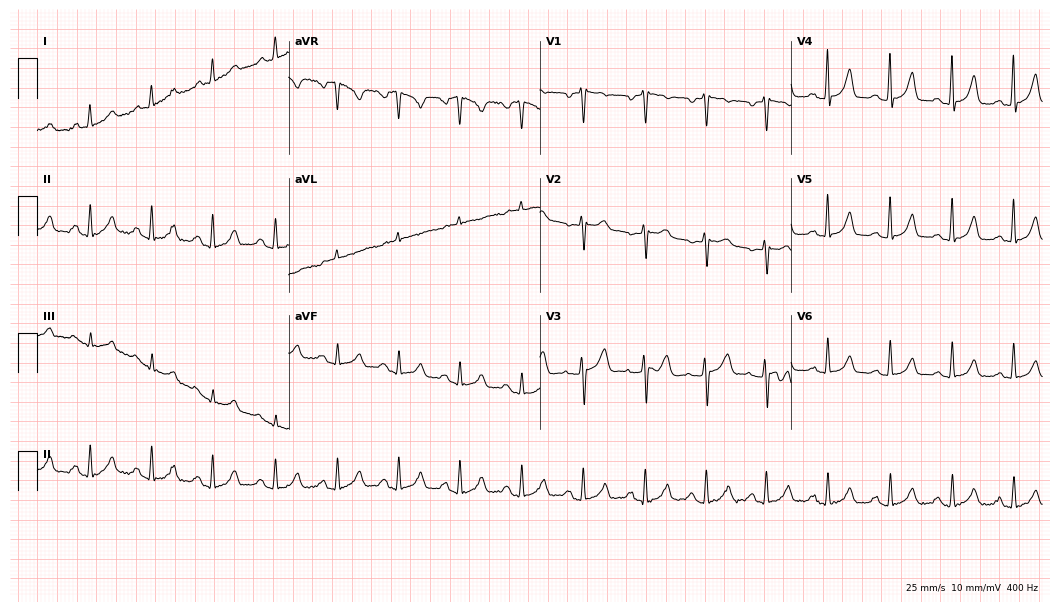
ECG (10.2-second recording at 400 Hz) — a 62-year-old female patient. Labelled as a normal ECG.